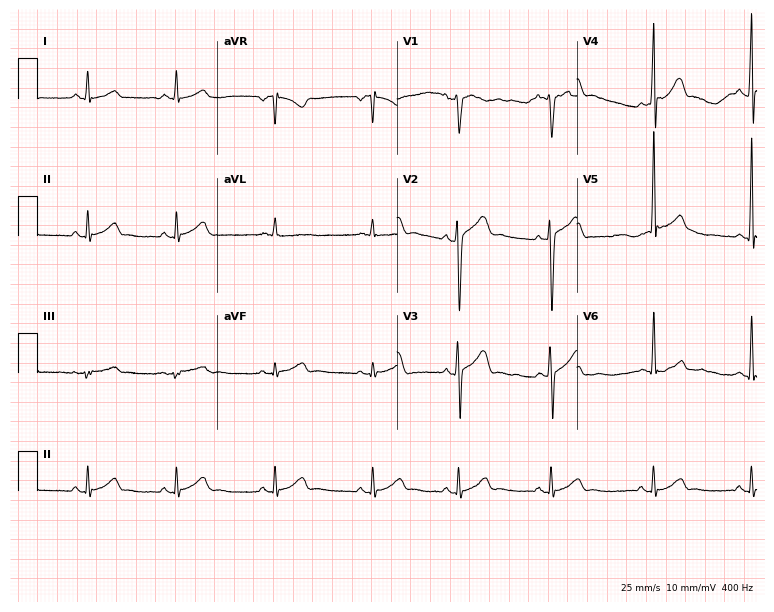
12-lead ECG (7.3-second recording at 400 Hz) from an 18-year-old man. Labelled as a normal ECG.